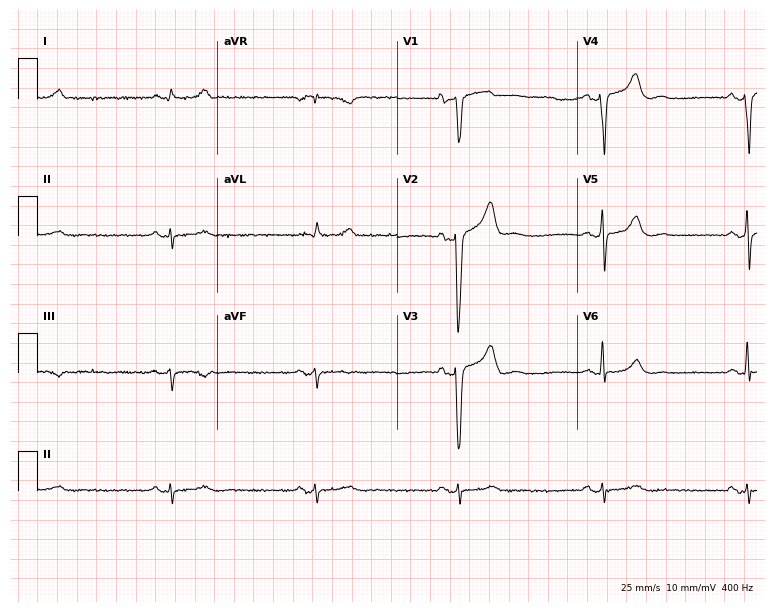
12-lead ECG from a 47-year-old male patient. No first-degree AV block, right bundle branch block (RBBB), left bundle branch block (LBBB), sinus bradycardia, atrial fibrillation (AF) or sinus tachycardia recorded for this tracing. Only these six findings were labelled.